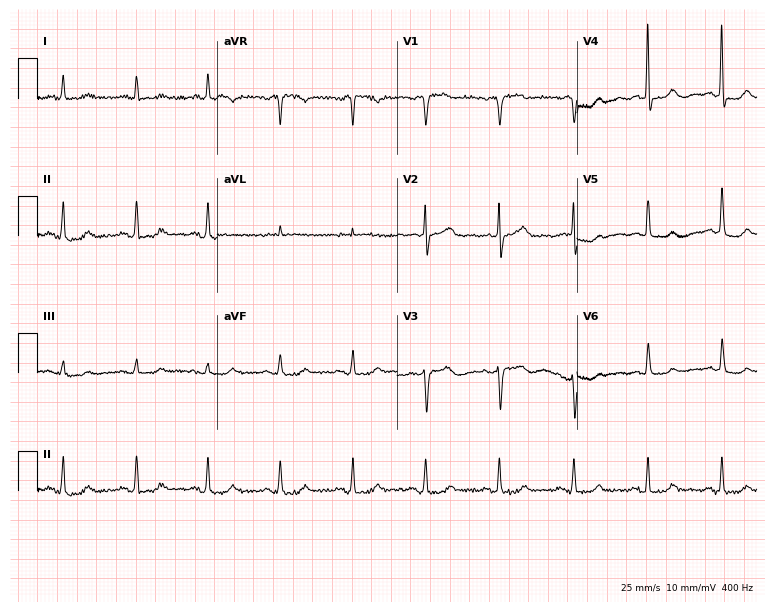
Electrocardiogram (7.3-second recording at 400 Hz), a woman, 85 years old. Of the six screened findings (first-degree AV block, right bundle branch block (RBBB), left bundle branch block (LBBB), sinus bradycardia, atrial fibrillation (AF), sinus tachycardia), none is recorded. Other findings, if any, are not listed.